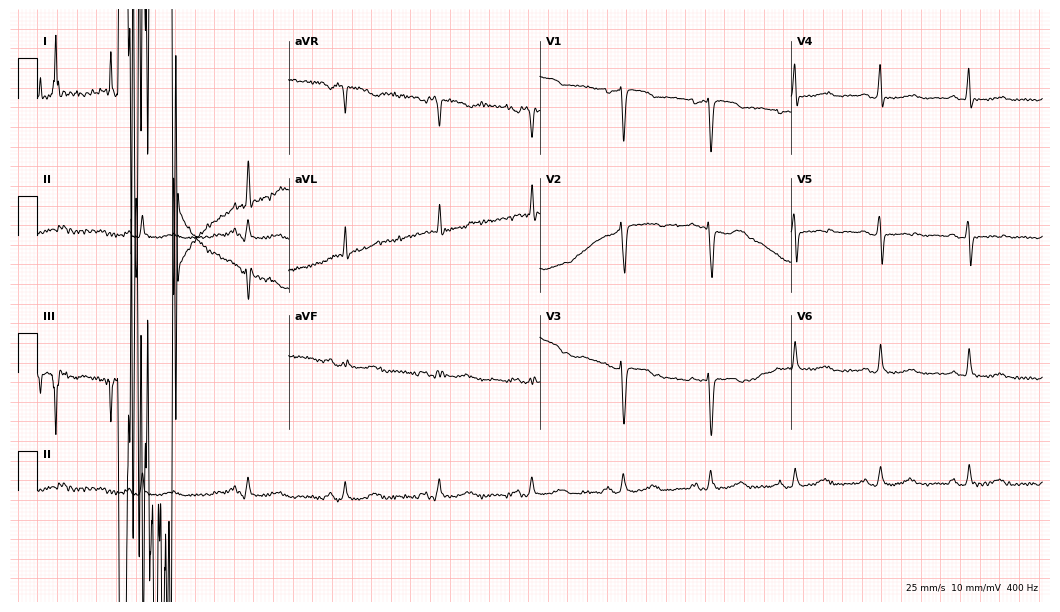
12-lead ECG (10.2-second recording at 400 Hz) from a 79-year-old woman. Screened for six findings — first-degree AV block, right bundle branch block (RBBB), left bundle branch block (LBBB), sinus bradycardia, atrial fibrillation (AF), sinus tachycardia — none is recorded.